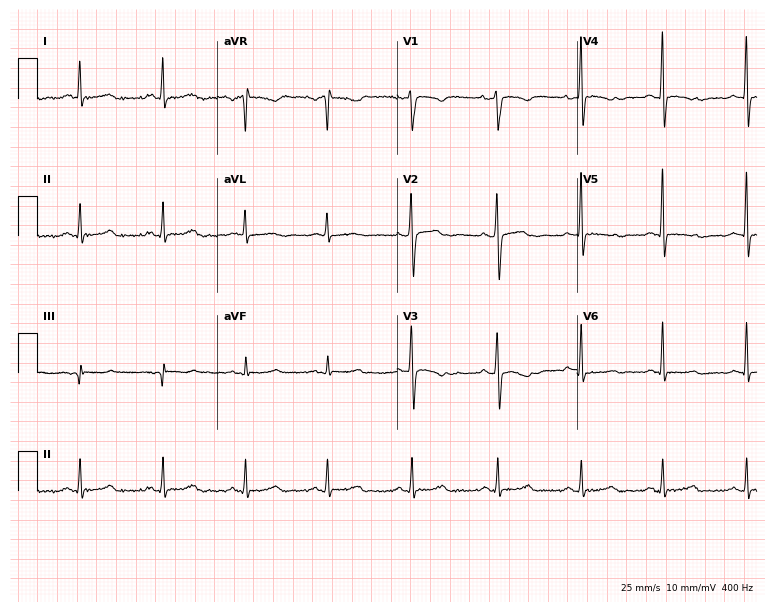
Standard 12-lead ECG recorded from a 40-year-old female patient. None of these six findings is recorded: first-degree AV block, right bundle branch block (RBBB), left bundle branch block (LBBB), sinus bradycardia, atrial fibrillation (AF), sinus tachycardia. Other findings, if any, are not listed.